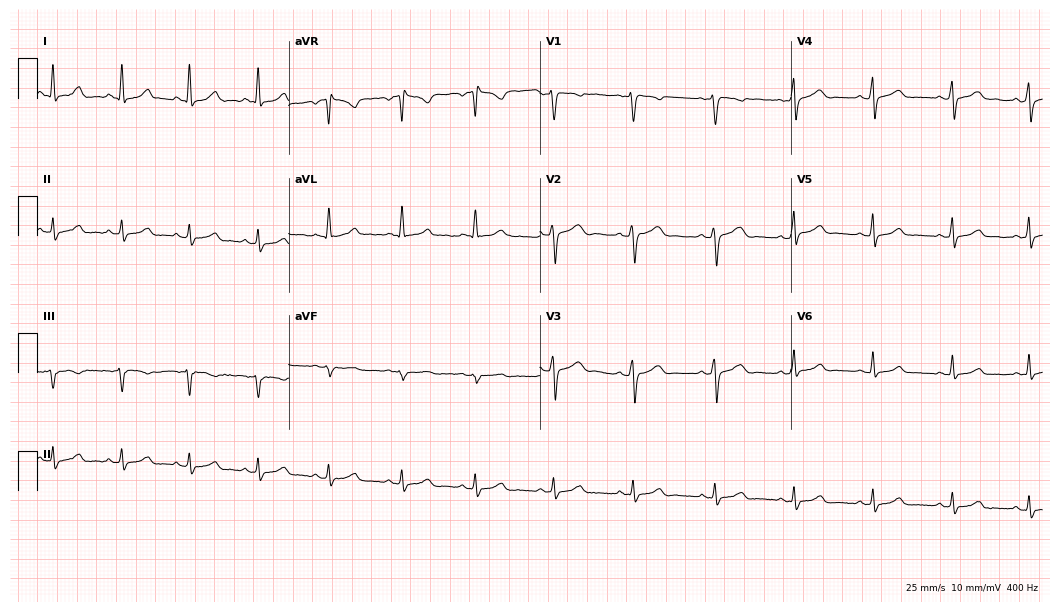
12-lead ECG from a 30-year-old female (10.2-second recording at 400 Hz). Recorded interpretation: within normal limits.